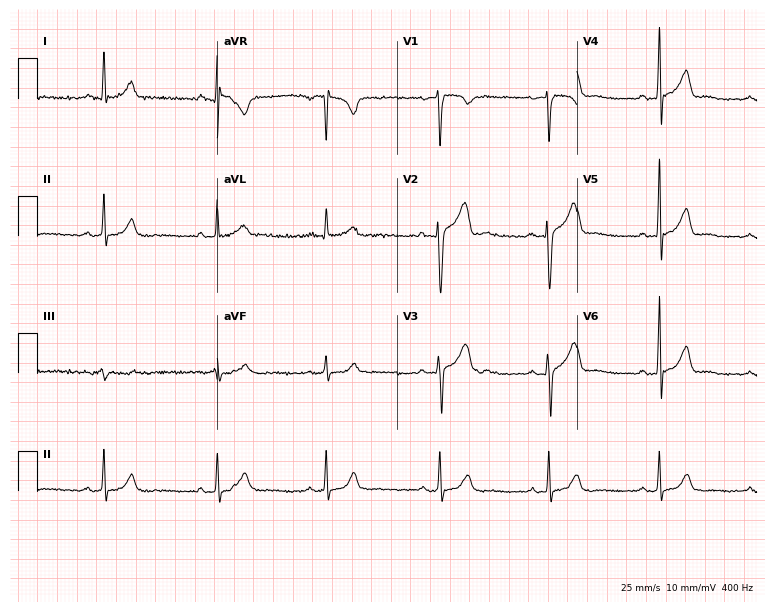
ECG (7.3-second recording at 400 Hz) — a 40-year-old male patient. Labelled as a normal ECG.